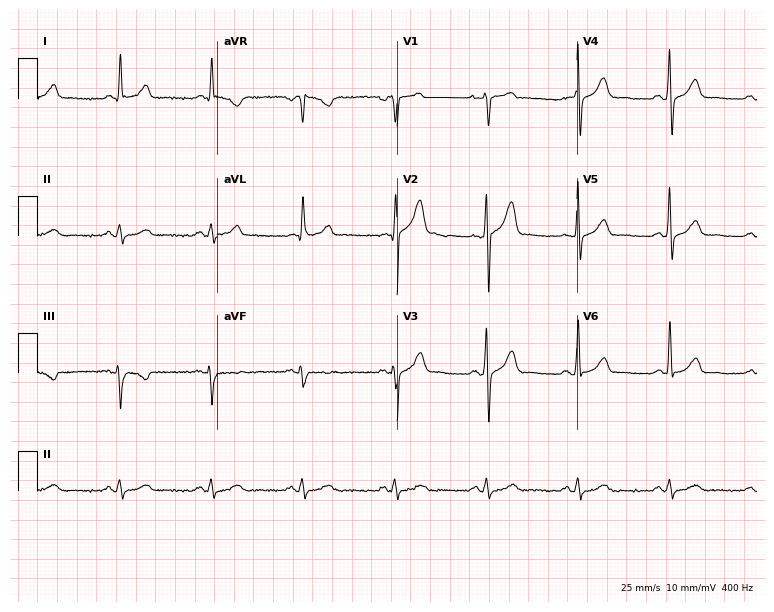
12-lead ECG (7.3-second recording at 400 Hz) from a male, 60 years old. Screened for six findings — first-degree AV block, right bundle branch block, left bundle branch block, sinus bradycardia, atrial fibrillation, sinus tachycardia — none is recorded.